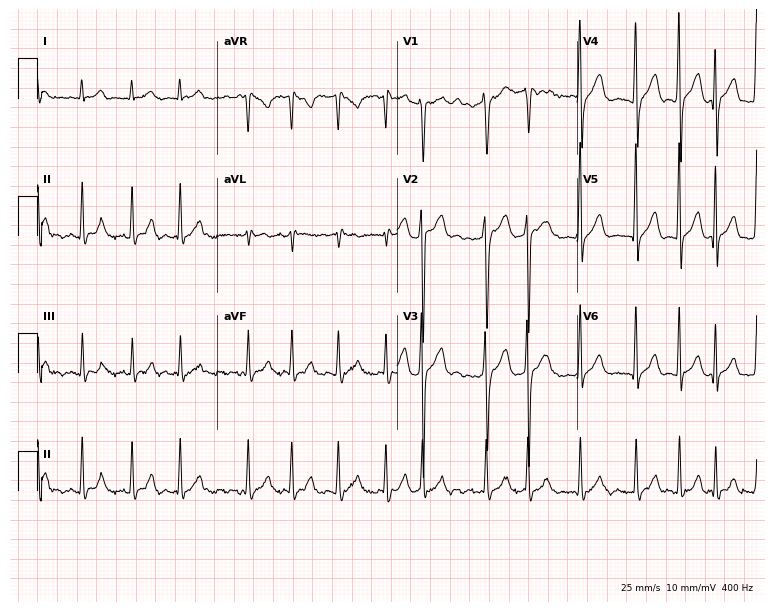
ECG (7.3-second recording at 400 Hz) — a male patient, 37 years old. Findings include atrial fibrillation (AF), sinus tachycardia (a sinus rate of 100 beats per minute or more).